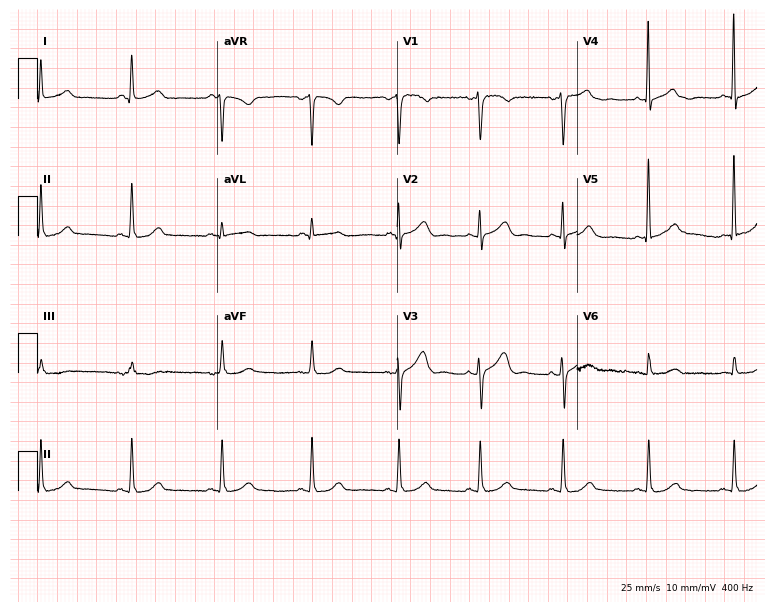
Resting 12-lead electrocardiogram. Patient: a female, 47 years old. None of these six findings is recorded: first-degree AV block, right bundle branch block (RBBB), left bundle branch block (LBBB), sinus bradycardia, atrial fibrillation (AF), sinus tachycardia.